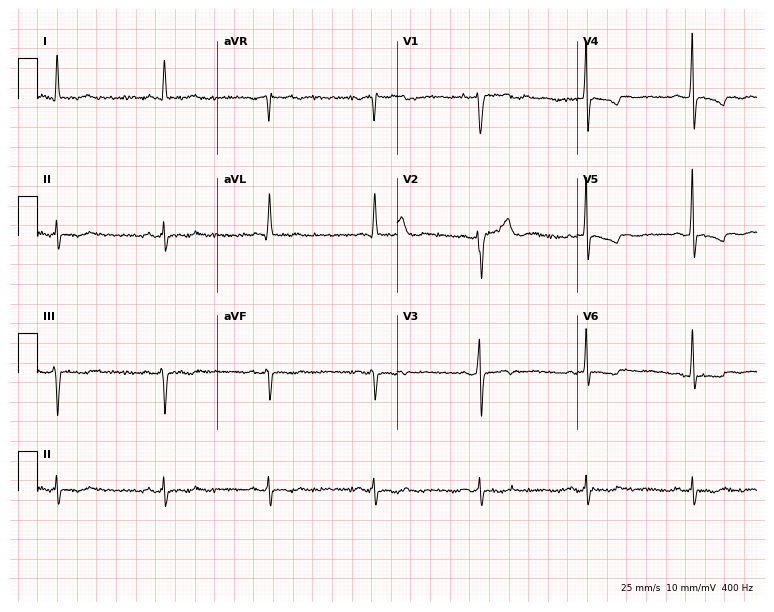
12-lead ECG from a 56-year-old man (7.3-second recording at 400 Hz). No first-degree AV block, right bundle branch block (RBBB), left bundle branch block (LBBB), sinus bradycardia, atrial fibrillation (AF) or sinus tachycardia recorded for this tracing.